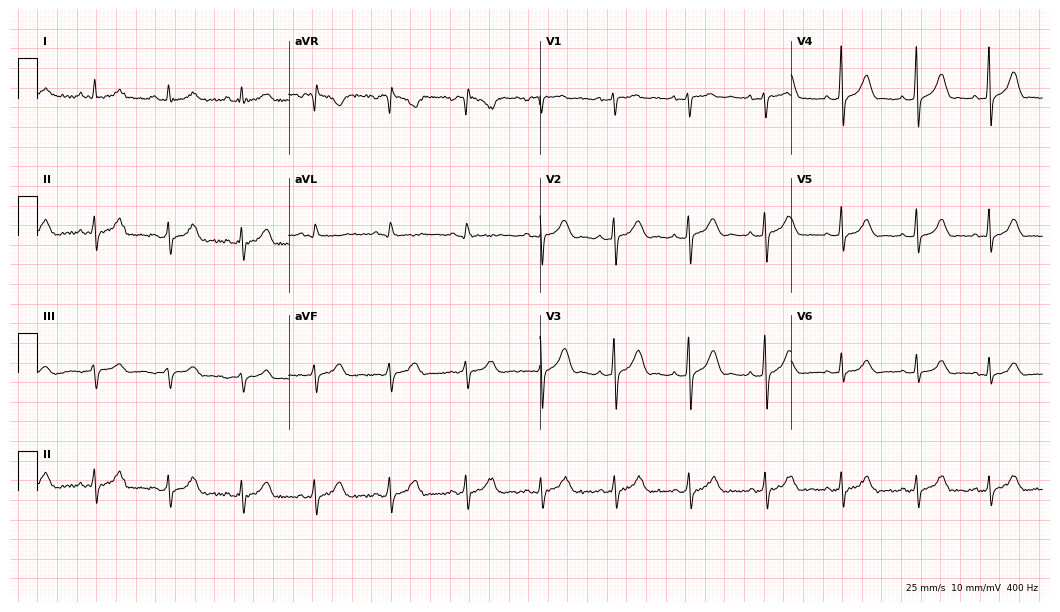
Resting 12-lead electrocardiogram (10.2-second recording at 400 Hz). Patient: a female, 23 years old. Read as a normal ECG.